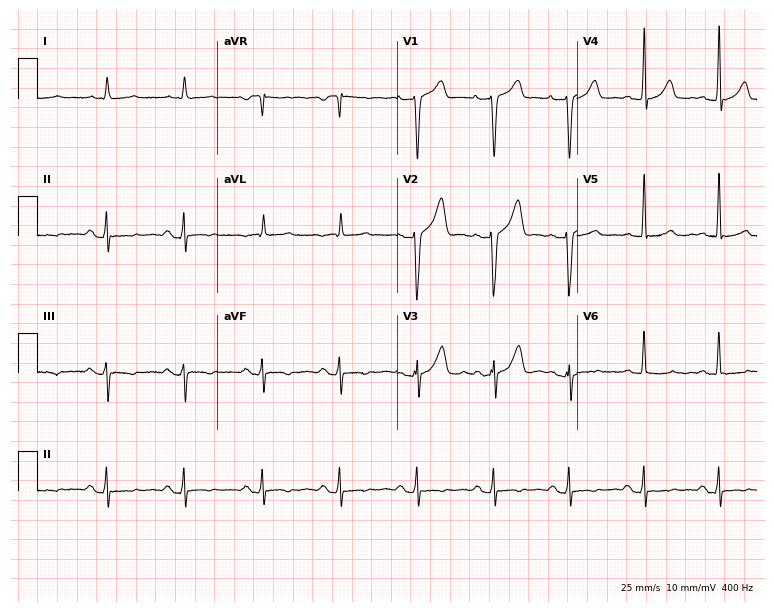
12-lead ECG from a 68-year-old male patient (7.3-second recording at 400 Hz). No first-degree AV block, right bundle branch block, left bundle branch block, sinus bradycardia, atrial fibrillation or sinus tachycardia recorded for this tracing. Other findings, if any, are not listed.